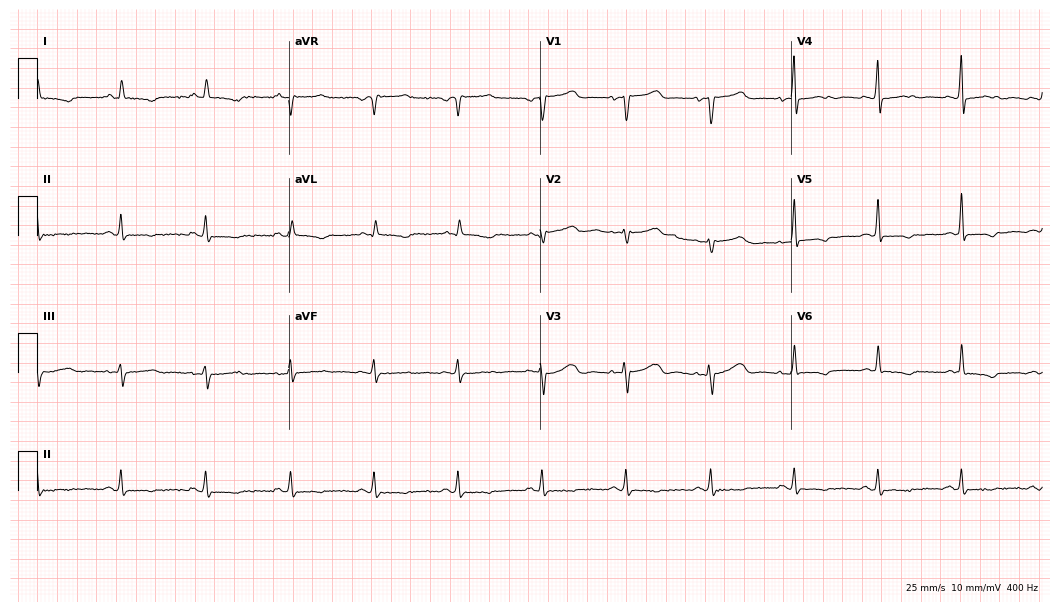
12-lead ECG (10.2-second recording at 400 Hz) from a 79-year-old woman. Screened for six findings — first-degree AV block, right bundle branch block (RBBB), left bundle branch block (LBBB), sinus bradycardia, atrial fibrillation (AF), sinus tachycardia — none is recorded. Findings outside these six are not listed.